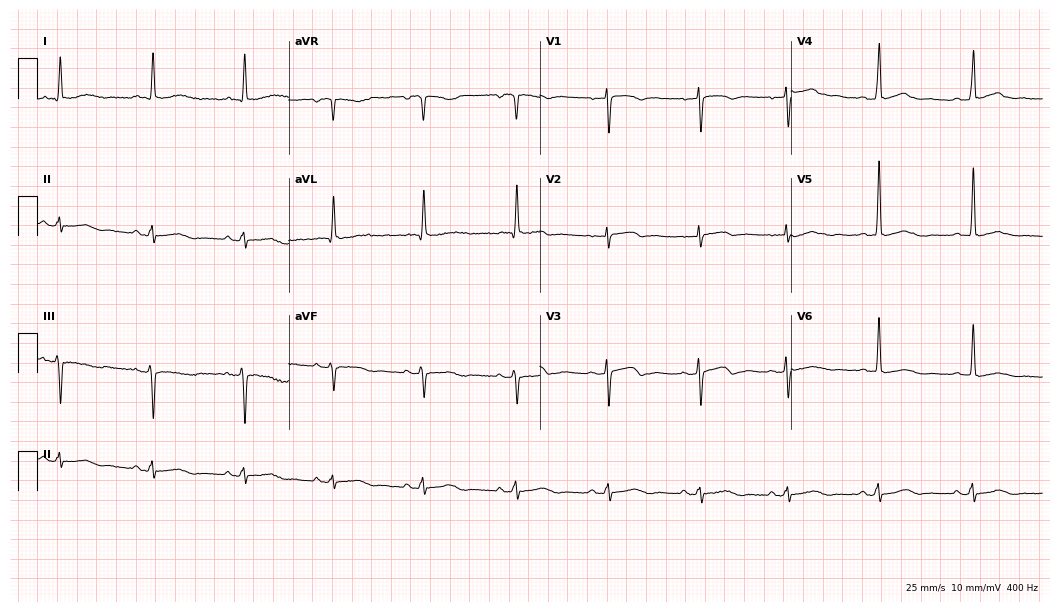
12-lead ECG from a female patient, 76 years old. Screened for six findings — first-degree AV block, right bundle branch block (RBBB), left bundle branch block (LBBB), sinus bradycardia, atrial fibrillation (AF), sinus tachycardia — none is recorded. Other findings, if any, are not listed.